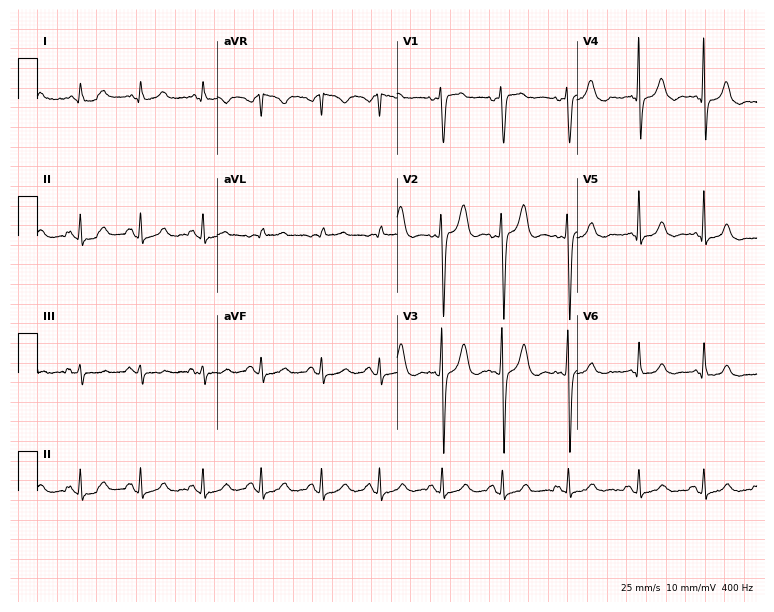
Standard 12-lead ECG recorded from a 44-year-old man (7.3-second recording at 400 Hz). Read as a normal ECG.